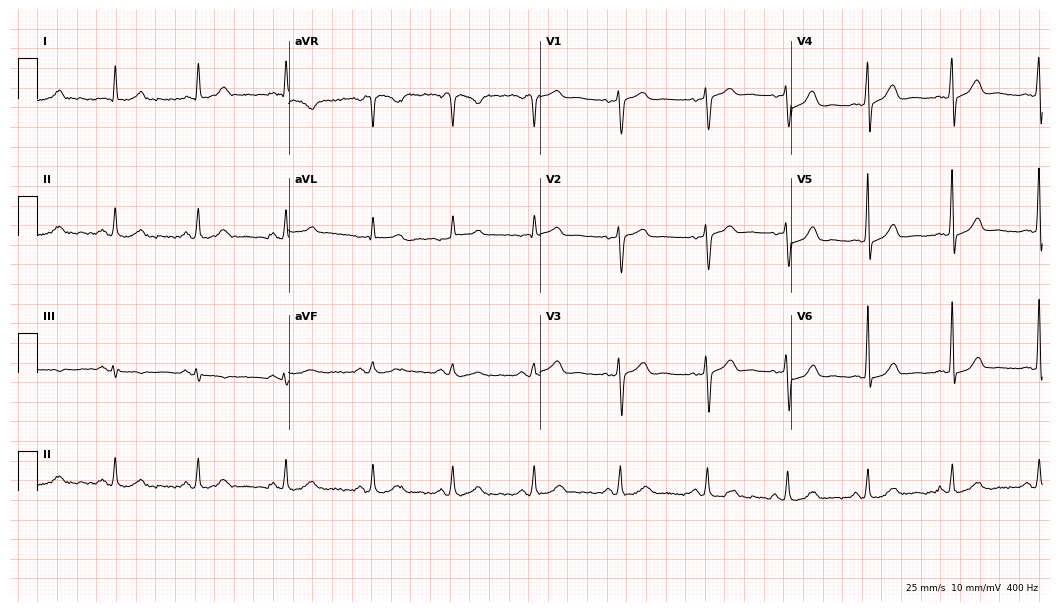
12-lead ECG from a 59-year-old female. Recorded interpretation: within normal limits.